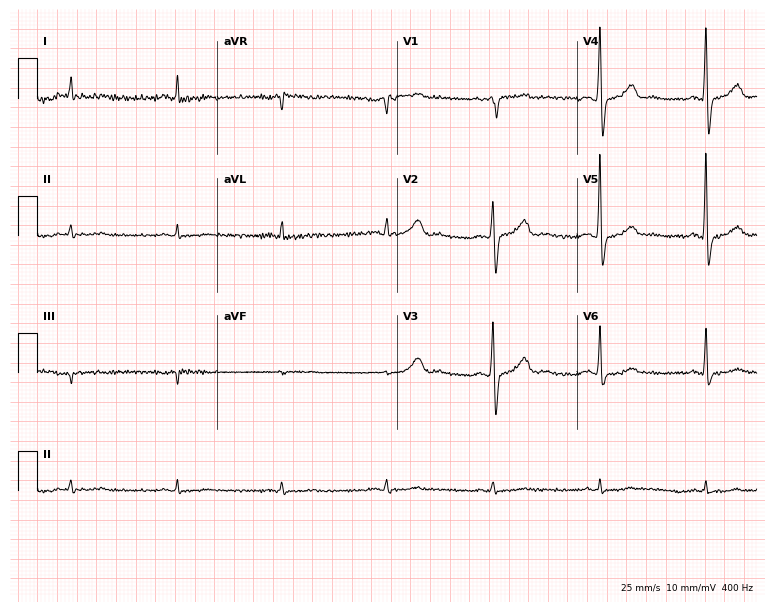
12-lead ECG from a man, 68 years old (7.3-second recording at 400 Hz). No first-degree AV block, right bundle branch block, left bundle branch block, sinus bradycardia, atrial fibrillation or sinus tachycardia recorded for this tracing. Only these six findings were labelled.